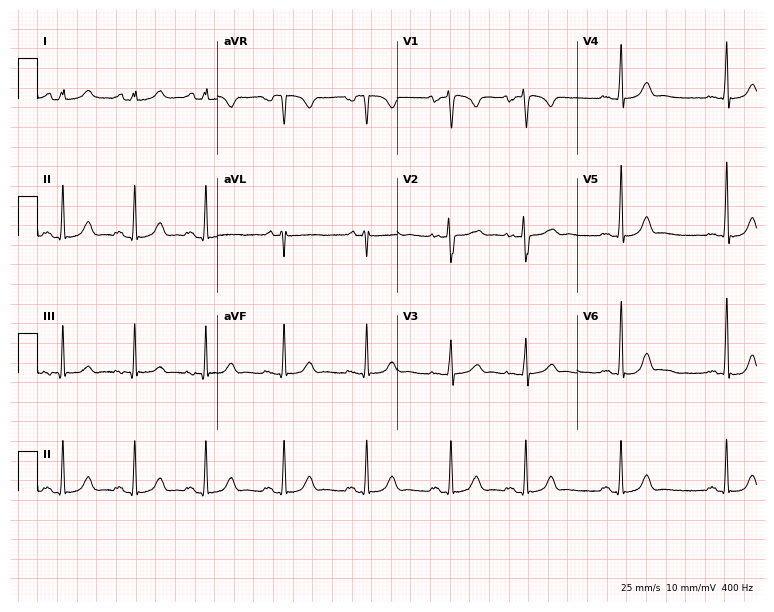
12-lead ECG from a female patient, 18 years old. Recorded interpretation: within normal limits.